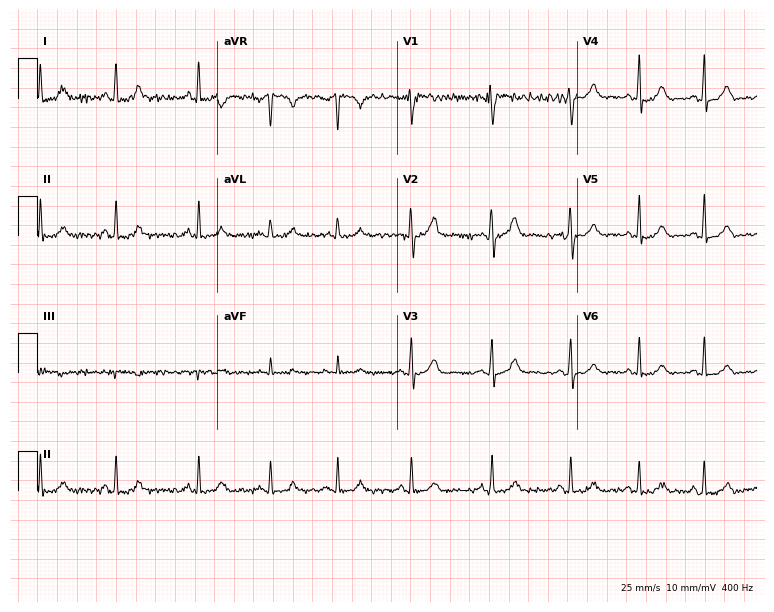
12-lead ECG from a 28-year-old woman. Screened for six findings — first-degree AV block, right bundle branch block, left bundle branch block, sinus bradycardia, atrial fibrillation, sinus tachycardia — none is recorded.